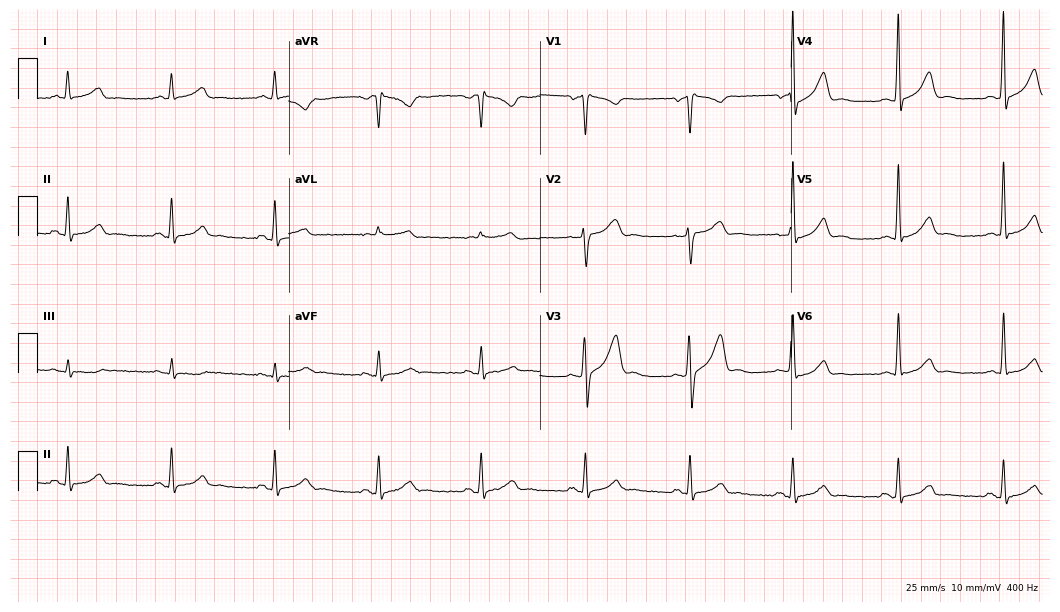
Standard 12-lead ECG recorded from a male patient, 55 years old. Read as a normal ECG.